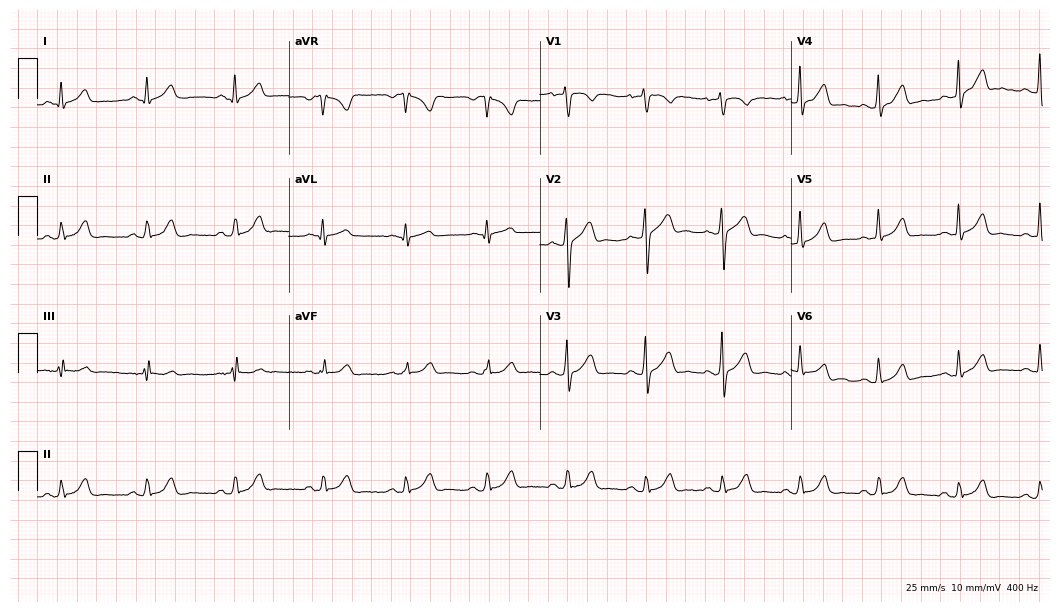
Electrocardiogram, a man, 26 years old. Overall reading on record: normal ECG.